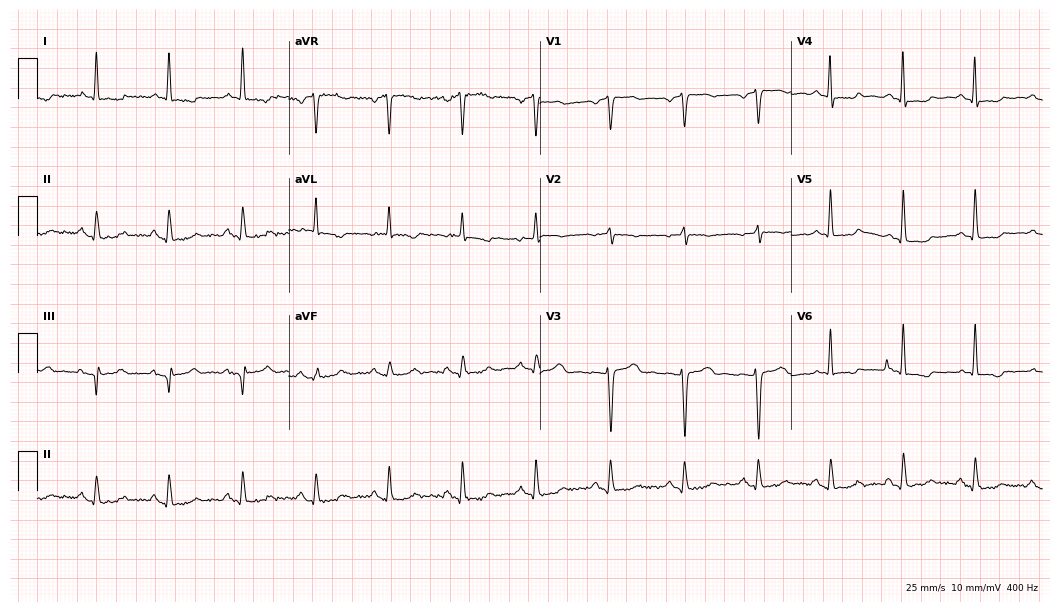
12-lead ECG (10.2-second recording at 400 Hz) from a female patient, 69 years old. Screened for six findings — first-degree AV block, right bundle branch block, left bundle branch block, sinus bradycardia, atrial fibrillation, sinus tachycardia — none is recorded. Findings outside these six are not listed.